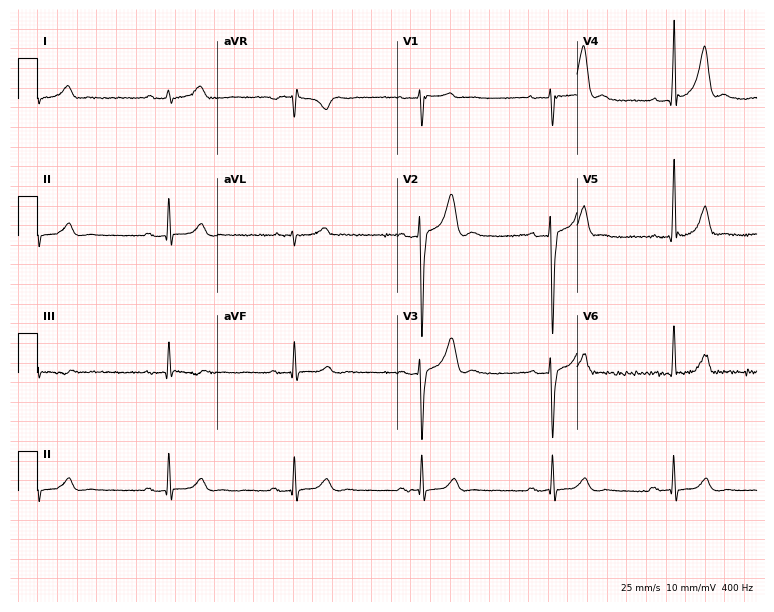
Electrocardiogram, a male, 25 years old. Of the six screened findings (first-degree AV block, right bundle branch block, left bundle branch block, sinus bradycardia, atrial fibrillation, sinus tachycardia), none is recorded.